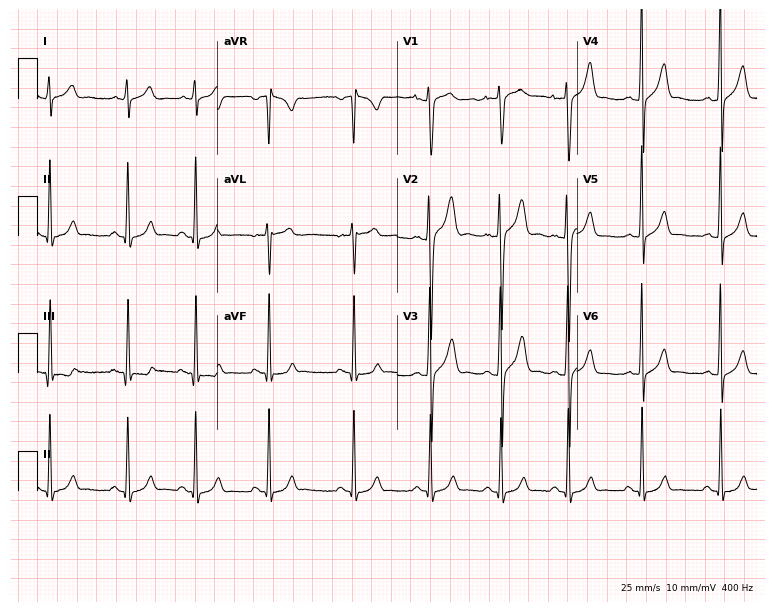
12-lead ECG from a 20-year-old male. Labelled as a normal ECG.